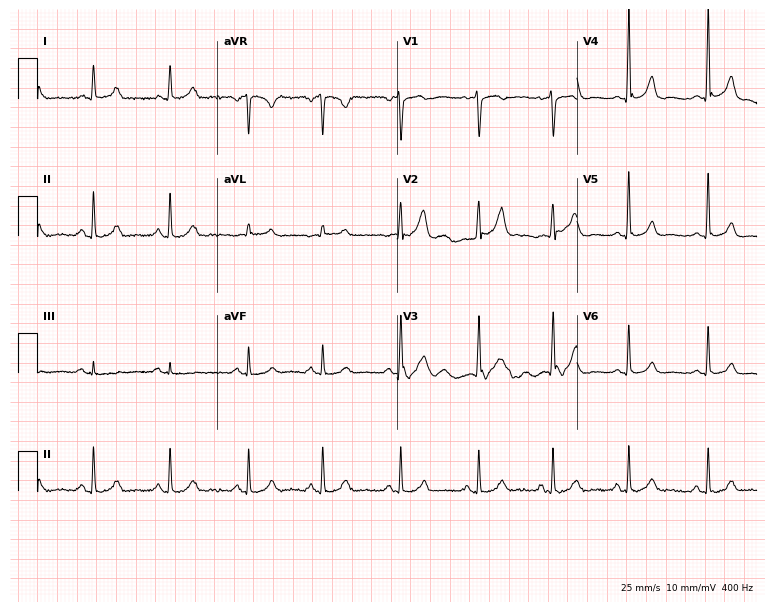
Resting 12-lead electrocardiogram. Patient: a 48-year-old male. Read as a normal ECG.